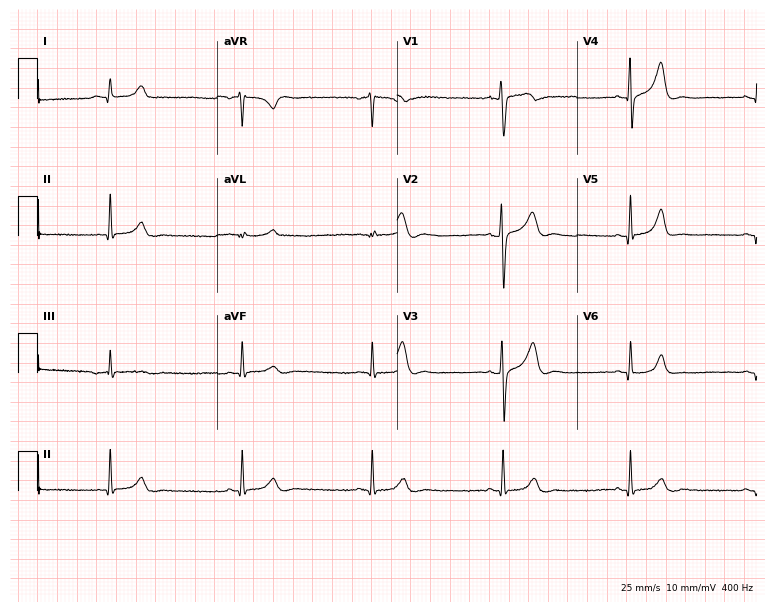
12-lead ECG from a 30-year-old male patient (7.3-second recording at 400 Hz). Shows sinus bradycardia (a sinus rate of 50 beats per minute or less).